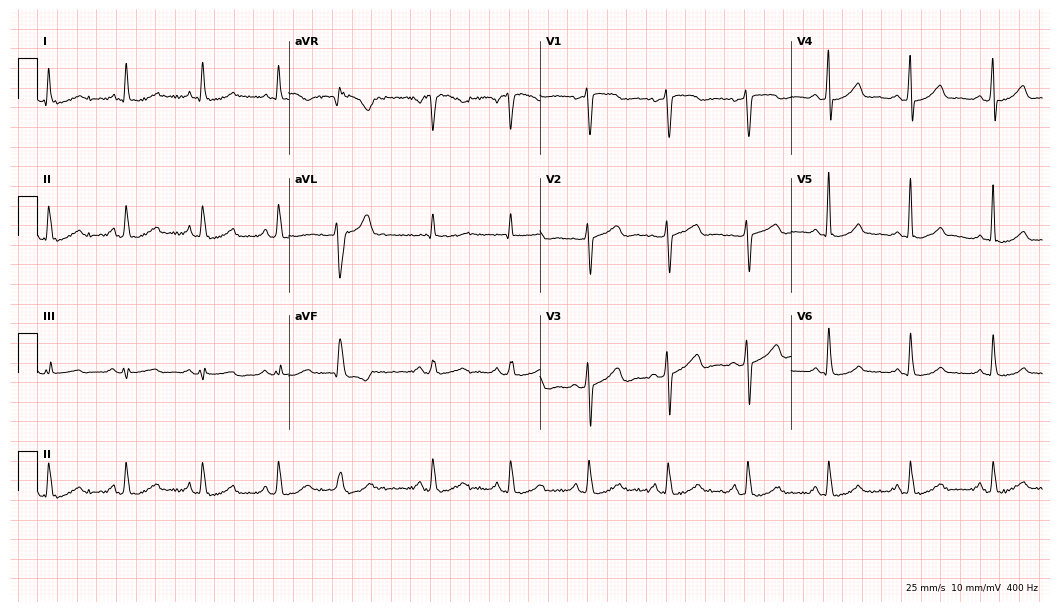
Standard 12-lead ECG recorded from a 63-year-old female patient. None of these six findings is recorded: first-degree AV block, right bundle branch block, left bundle branch block, sinus bradycardia, atrial fibrillation, sinus tachycardia. Other findings, if any, are not listed.